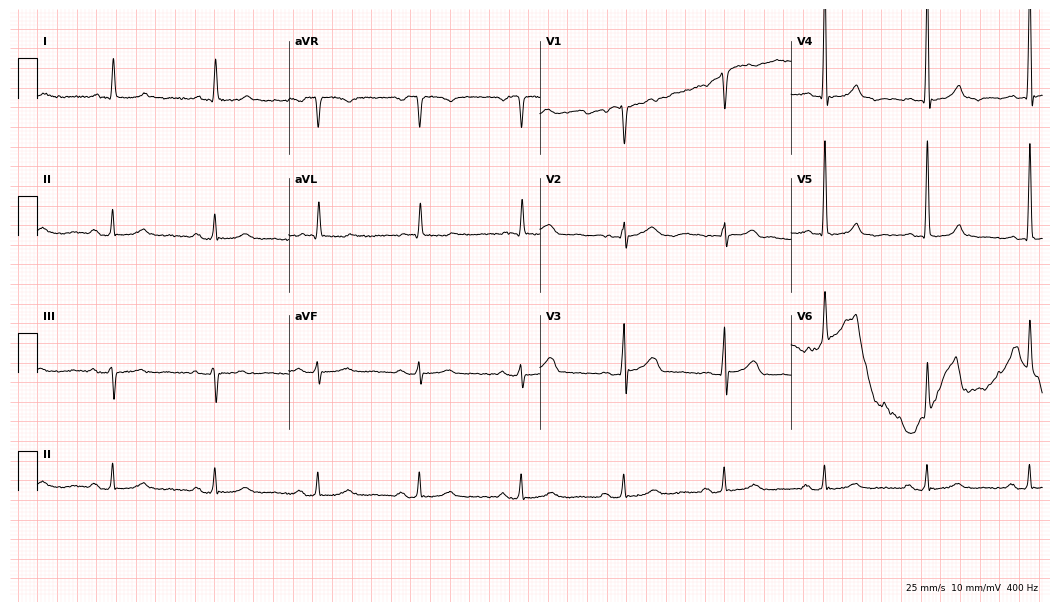
12-lead ECG from an 85-year-old man (10.2-second recording at 400 Hz). Shows first-degree AV block.